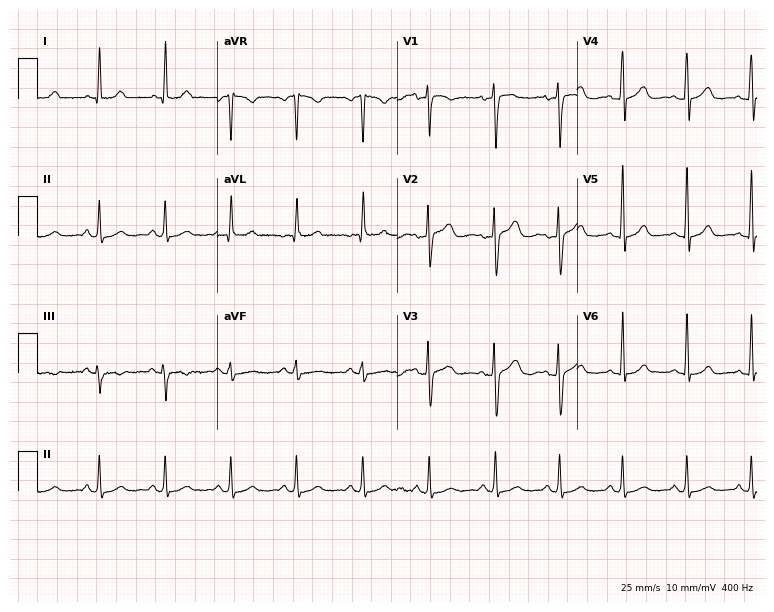
Electrocardiogram (7.3-second recording at 400 Hz), a woman, 42 years old. Overall reading on record: normal ECG.